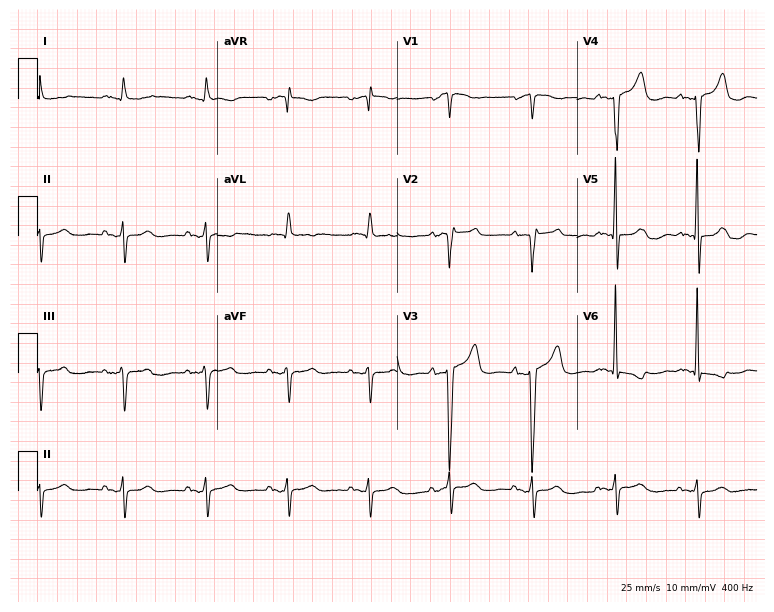
Standard 12-lead ECG recorded from a female patient, 69 years old (7.3-second recording at 400 Hz). None of these six findings is recorded: first-degree AV block, right bundle branch block, left bundle branch block, sinus bradycardia, atrial fibrillation, sinus tachycardia. Other findings, if any, are not listed.